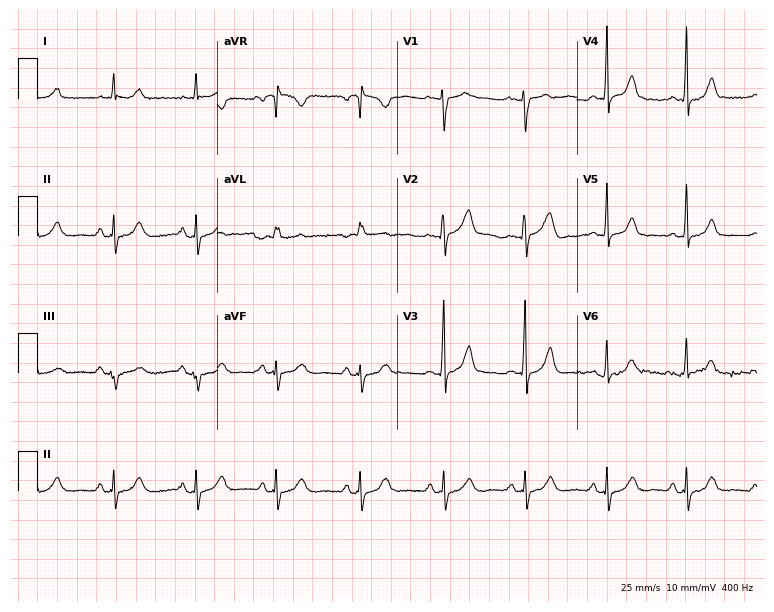
12-lead ECG from a woman, 47 years old. Labelled as a normal ECG.